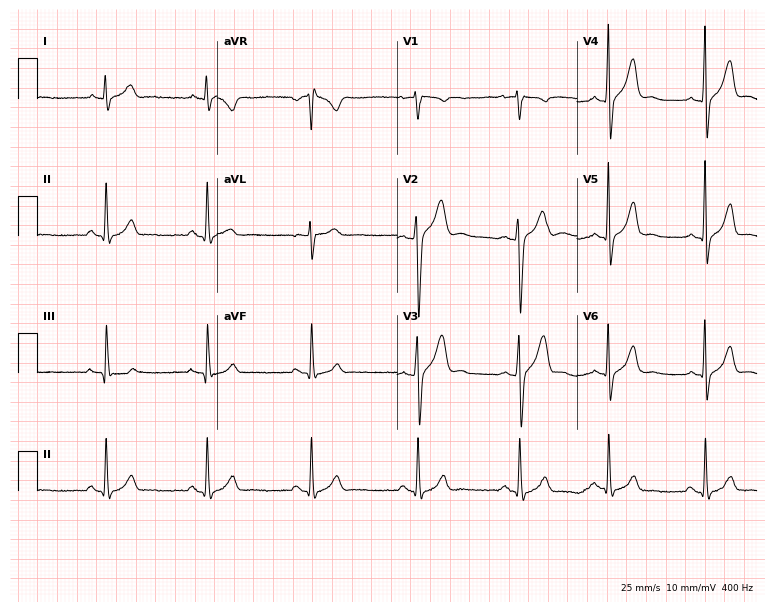
Resting 12-lead electrocardiogram (7.3-second recording at 400 Hz). Patient: a male, 27 years old. None of these six findings is recorded: first-degree AV block, right bundle branch block (RBBB), left bundle branch block (LBBB), sinus bradycardia, atrial fibrillation (AF), sinus tachycardia. Other findings, if any, are not listed.